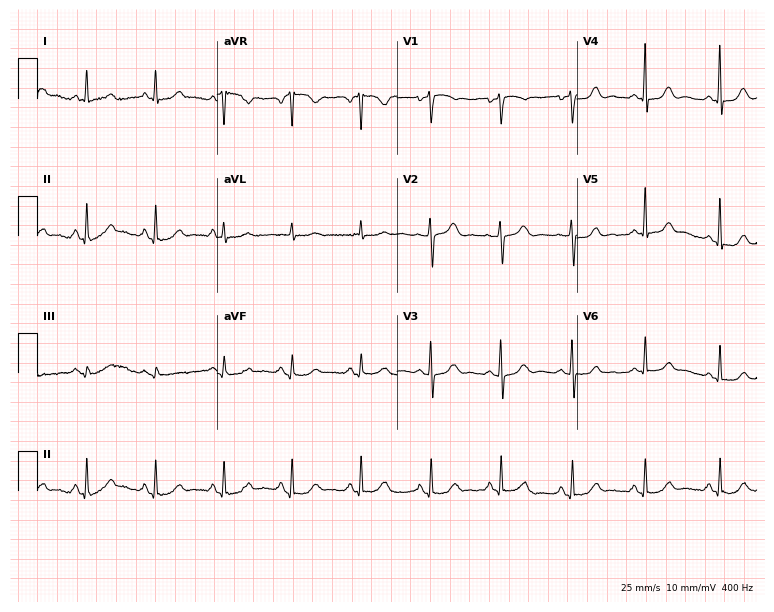
ECG — a 71-year-old woman. Labelled as a normal ECG.